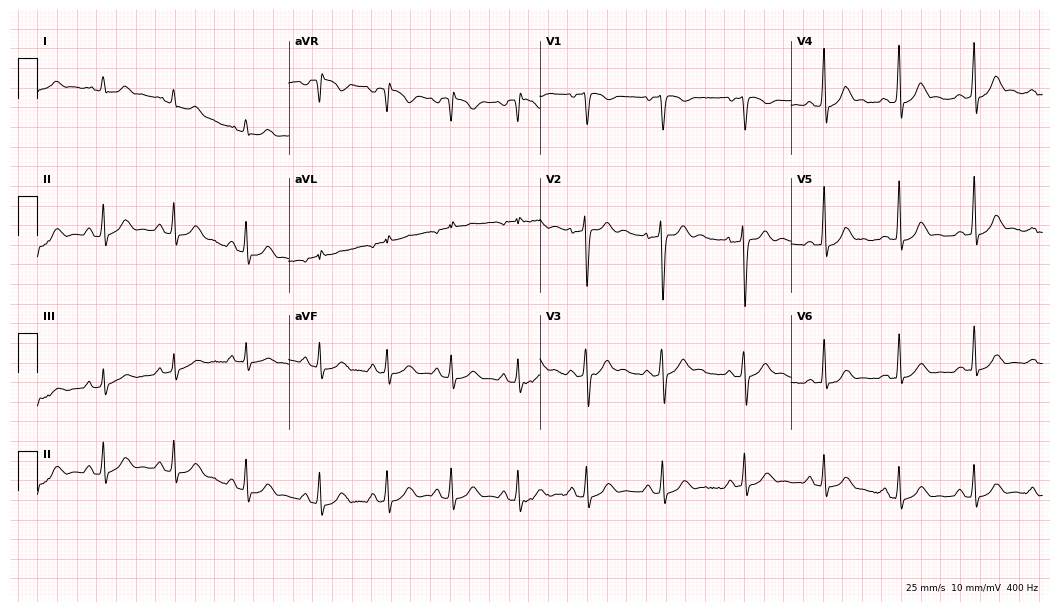
12-lead ECG (10.2-second recording at 400 Hz) from a male patient, 36 years old. Labelled as a normal ECG.